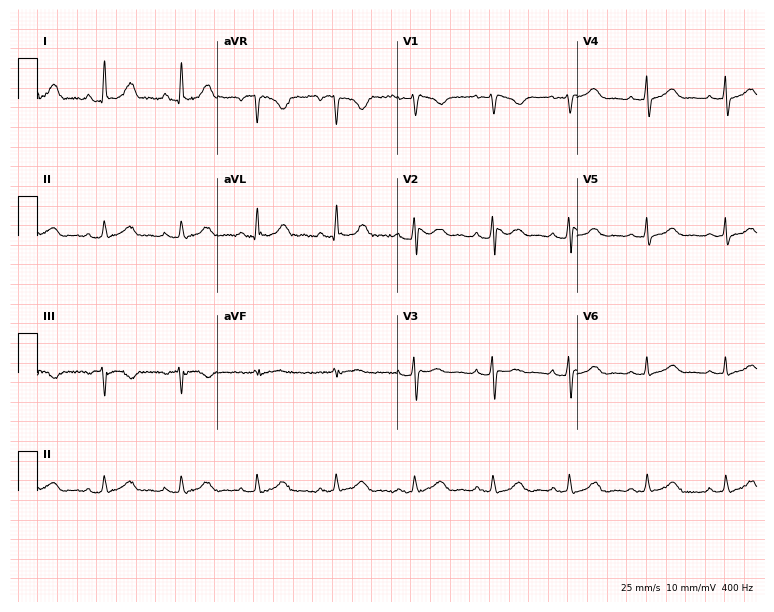
Resting 12-lead electrocardiogram. Patient: a woman, 69 years old. None of these six findings is recorded: first-degree AV block, right bundle branch block, left bundle branch block, sinus bradycardia, atrial fibrillation, sinus tachycardia.